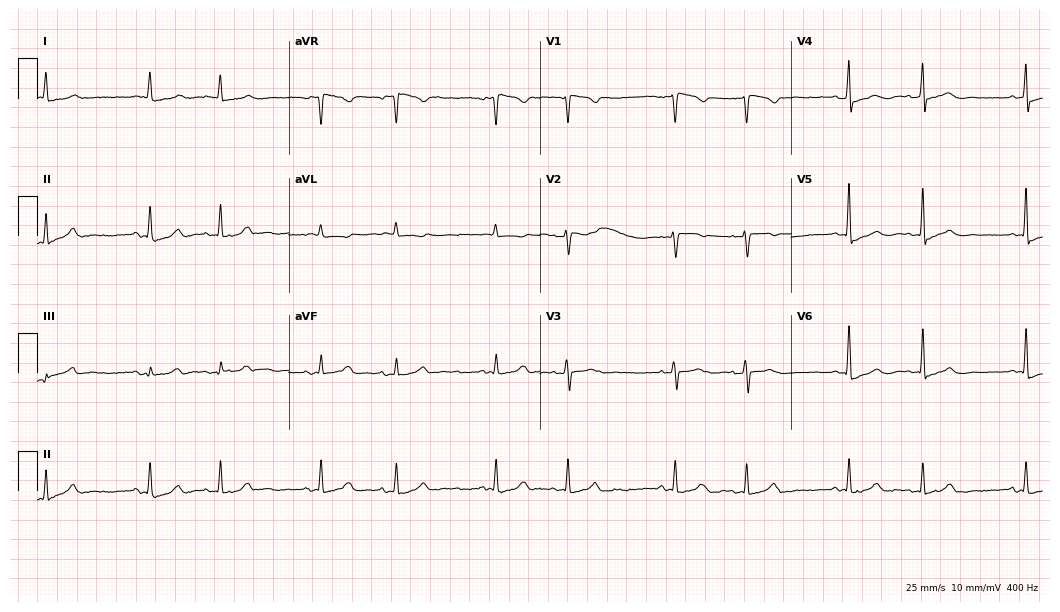
12-lead ECG from a female, 79 years old. Screened for six findings — first-degree AV block, right bundle branch block, left bundle branch block, sinus bradycardia, atrial fibrillation, sinus tachycardia — none is recorded. Findings outside these six are not listed.